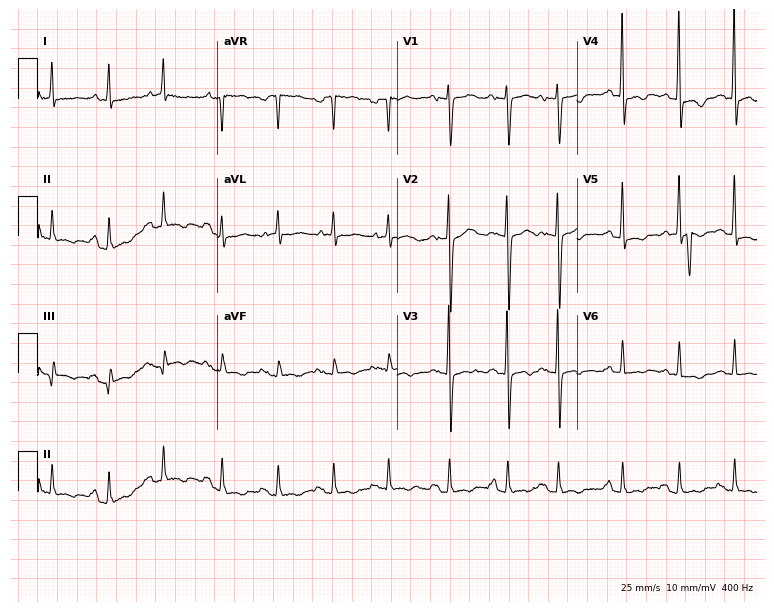
Resting 12-lead electrocardiogram (7.3-second recording at 400 Hz). Patient: a female, 82 years old. The tracing shows sinus tachycardia (a sinus rate of 100 beats per minute or more).